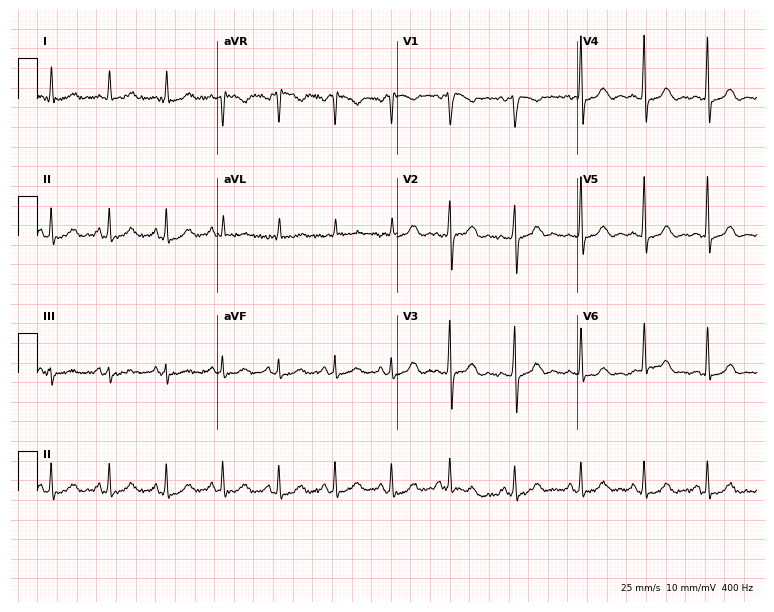
Standard 12-lead ECG recorded from a female patient, 41 years old. None of these six findings is recorded: first-degree AV block, right bundle branch block, left bundle branch block, sinus bradycardia, atrial fibrillation, sinus tachycardia.